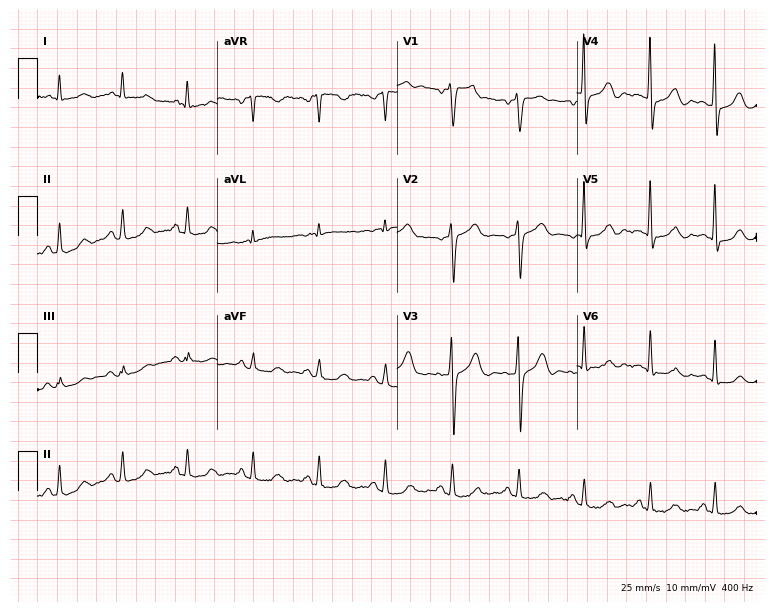
ECG — a 68-year-old man. Screened for six findings — first-degree AV block, right bundle branch block, left bundle branch block, sinus bradycardia, atrial fibrillation, sinus tachycardia — none is recorded.